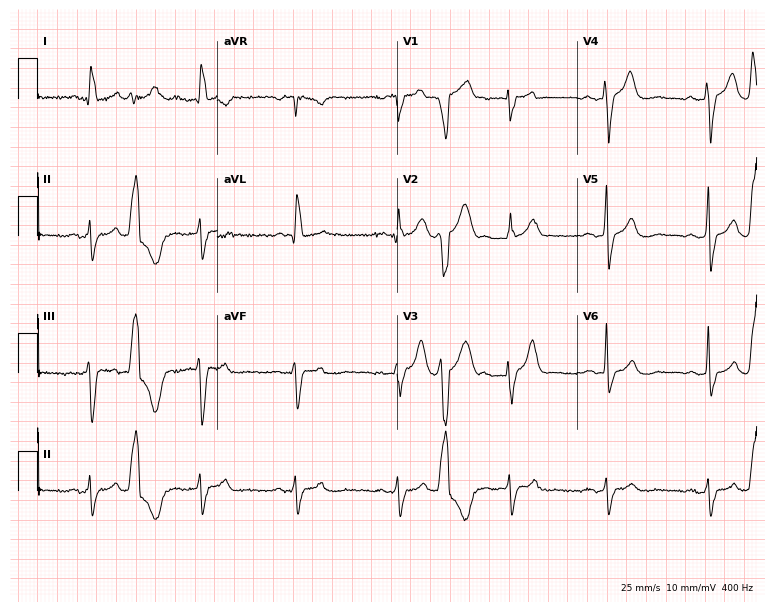
Standard 12-lead ECG recorded from a 74-year-old male (7.3-second recording at 400 Hz). None of these six findings is recorded: first-degree AV block, right bundle branch block, left bundle branch block, sinus bradycardia, atrial fibrillation, sinus tachycardia.